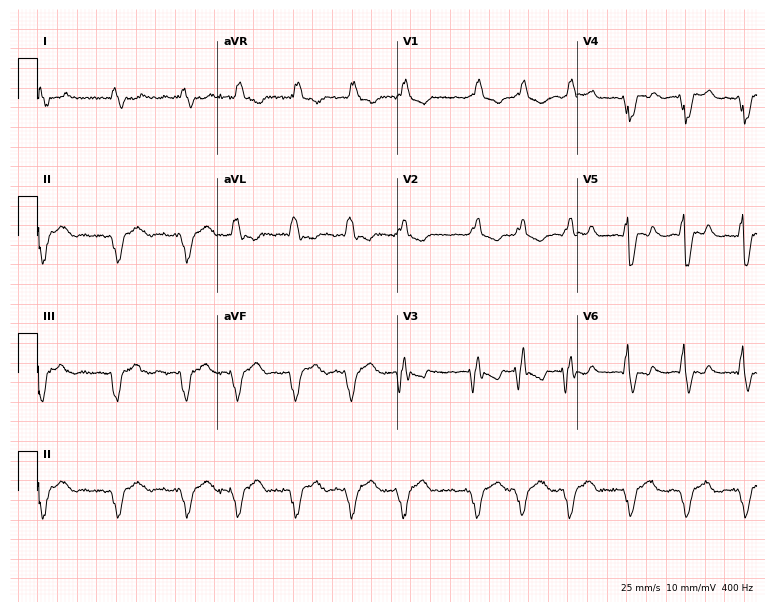
12-lead ECG from a male patient, 60 years old. Findings include right bundle branch block (RBBB), atrial fibrillation (AF).